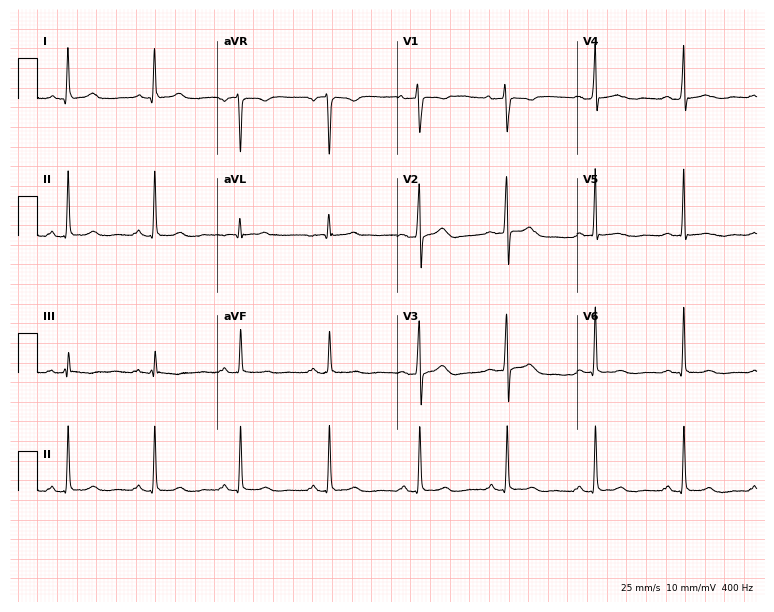
12-lead ECG from a 38-year-old female patient. Screened for six findings — first-degree AV block, right bundle branch block, left bundle branch block, sinus bradycardia, atrial fibrillation, sinus tachycardia — none is recorded.